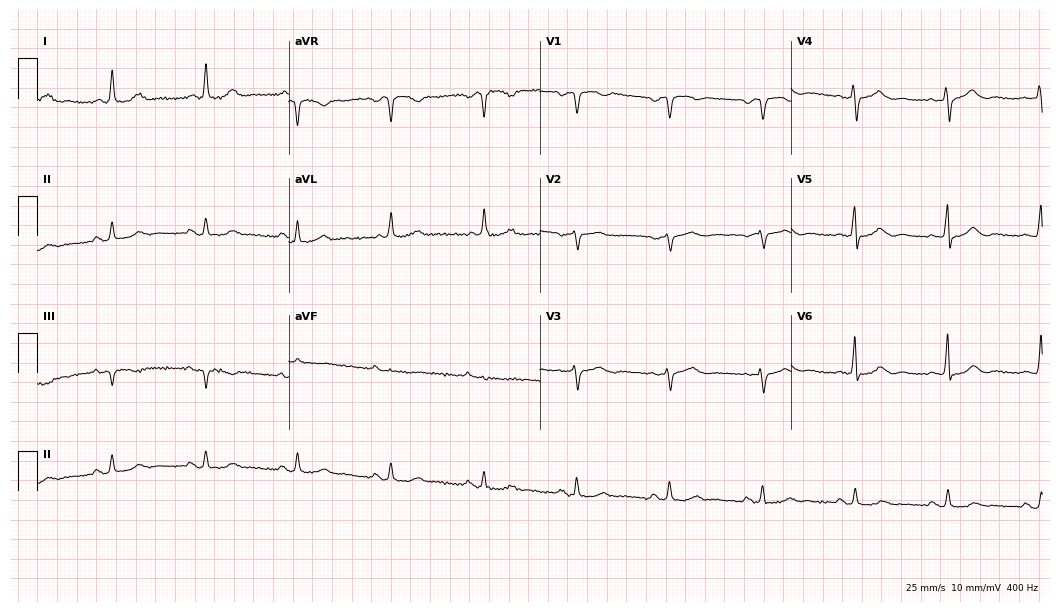
ECG — a female patient, 74 years old. Labelled as a normal ECG.